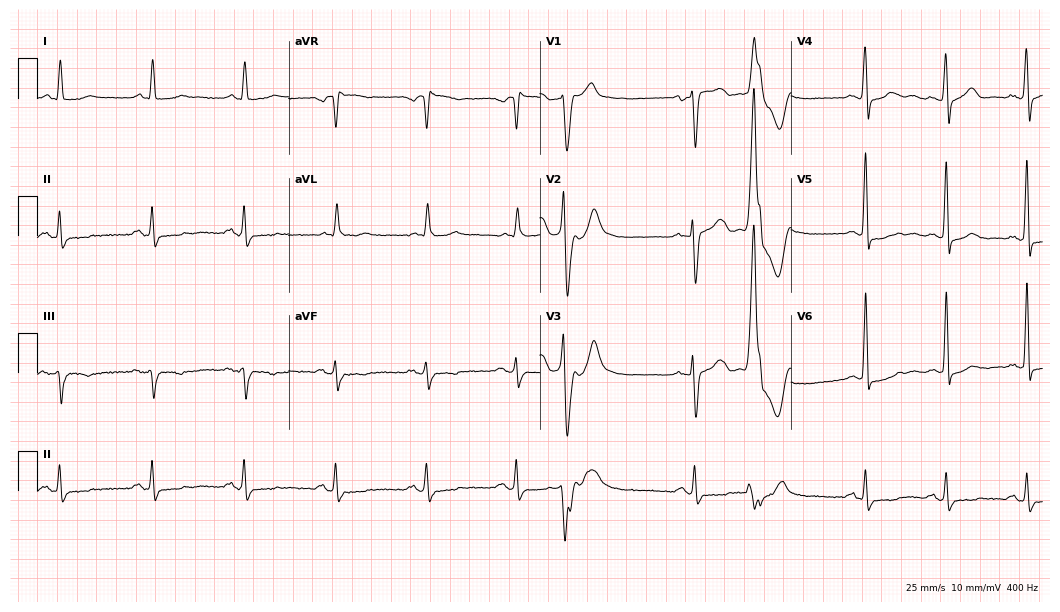
Standard 12-lead ECG recorded from a man, 74 years old. None of these six findings is recorded: first-degree AV block, right bundle branch block, left bundle branch block, sinus bradycardia, atrial fibrillation, sinus tachycardia. Only these six findings were labelled.